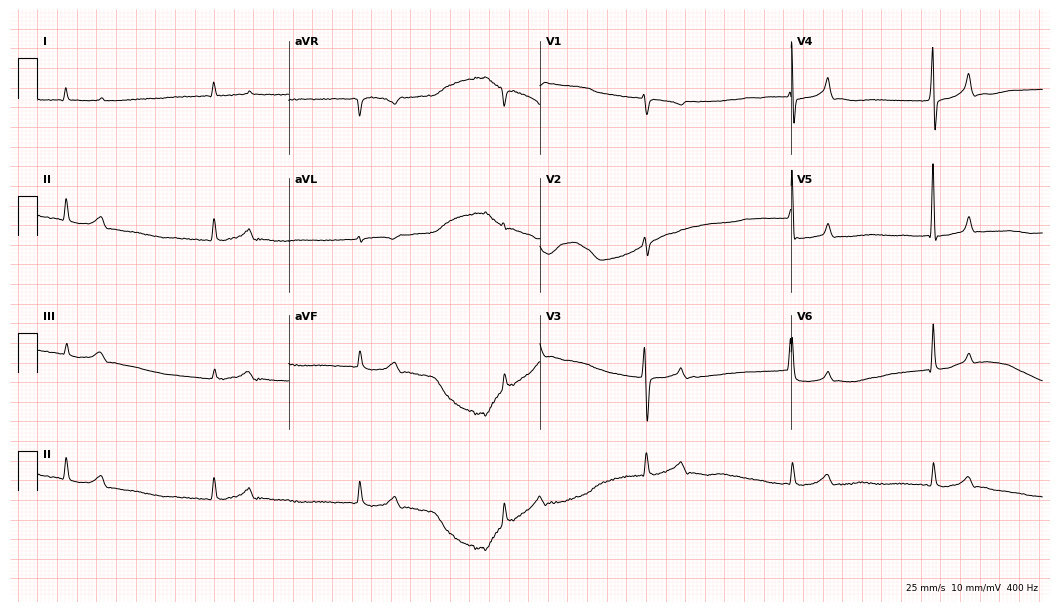
Standard 12-lead ECG recorded from a 76-year-old female (10.2-second recording at 400 Hz). None of these six findings is recorded: first-degree AV block, right bundle branch block, left bundle branch block, sinus bradycardia, atrial fibrillation, sinus tachycardia.